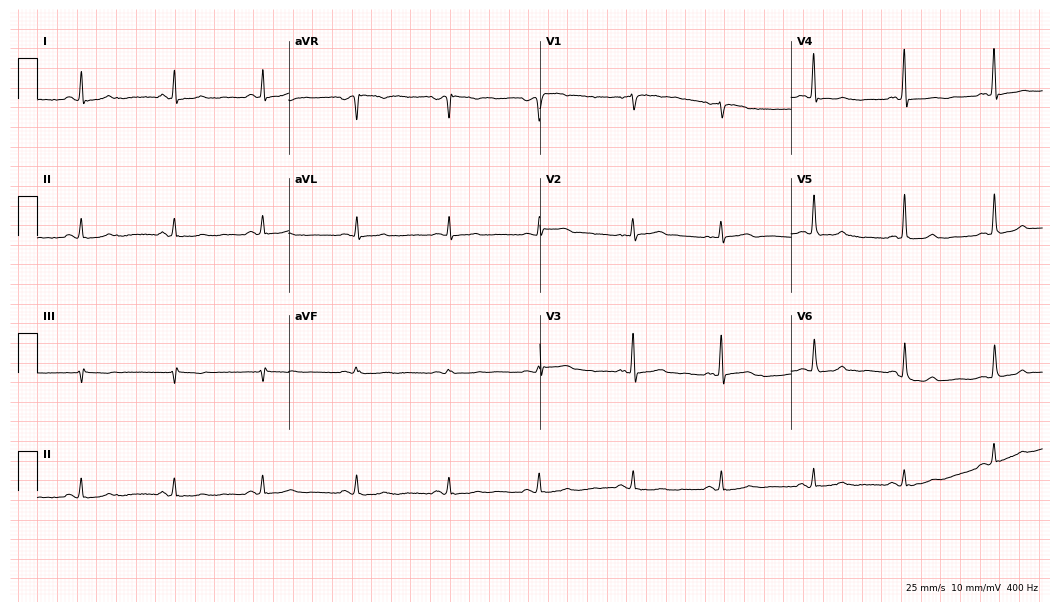
12-lead ECG from a 64-year-old female patient. No first-degree AV block, right bundle branch block (RBBB), left bundle branch block (LBBB), sinus bradycardia, atrial fibrillation (AF) or sinus tachycardia recorded for this tracing. Other findings, if any, are not listed.